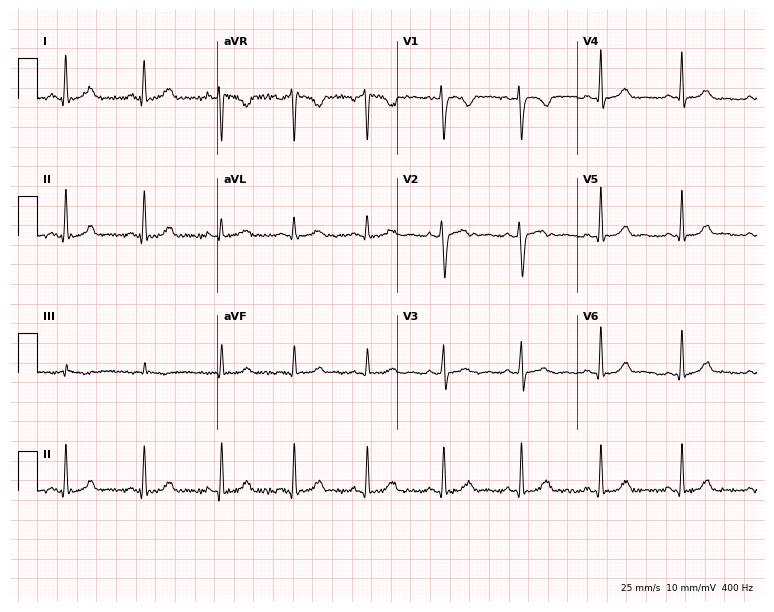
Standard 12-lead ECG recorded from a 29-year-old female patient (7.3-second recording at 400 Hz). Read as a normal ECG.